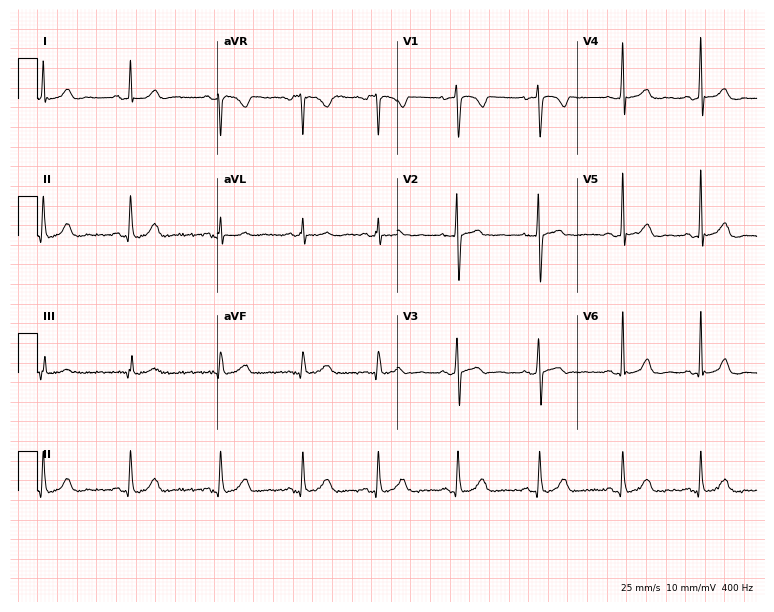
Standard 12-lead ECG recorded from a female, 24 years old. Read as a normal ECG.